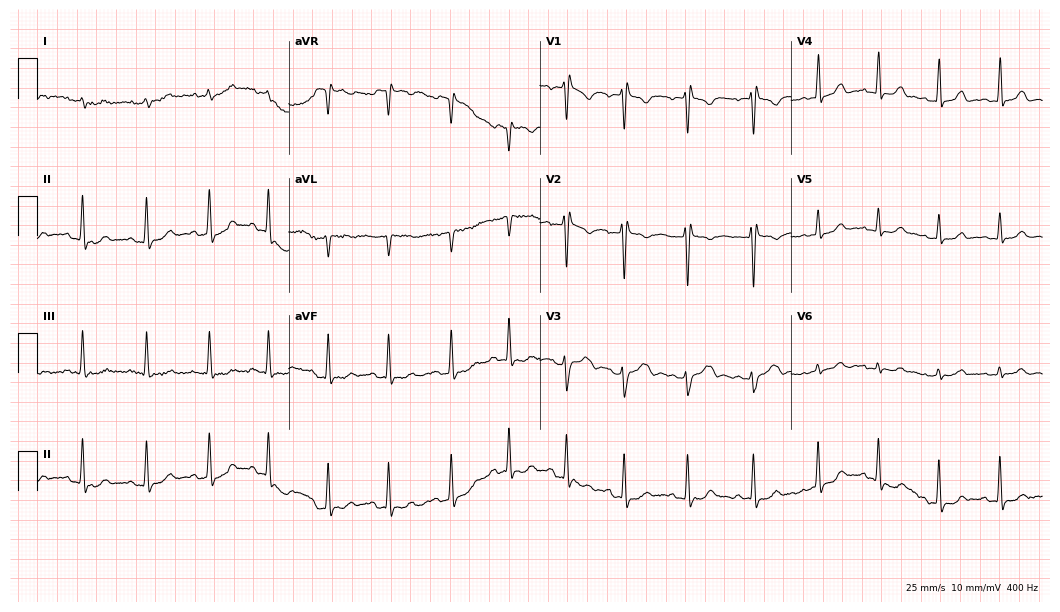
ECG (10.2-second recording at 400 Hz) — a woman, 20 years old. Screened for six findings — first-degree AV block, right bundle branch block, left bundle branch block, sinus bradycardia, atrial fibrillation, sinus tachycardia — none is recorded. Other findings, if any, are not listed.